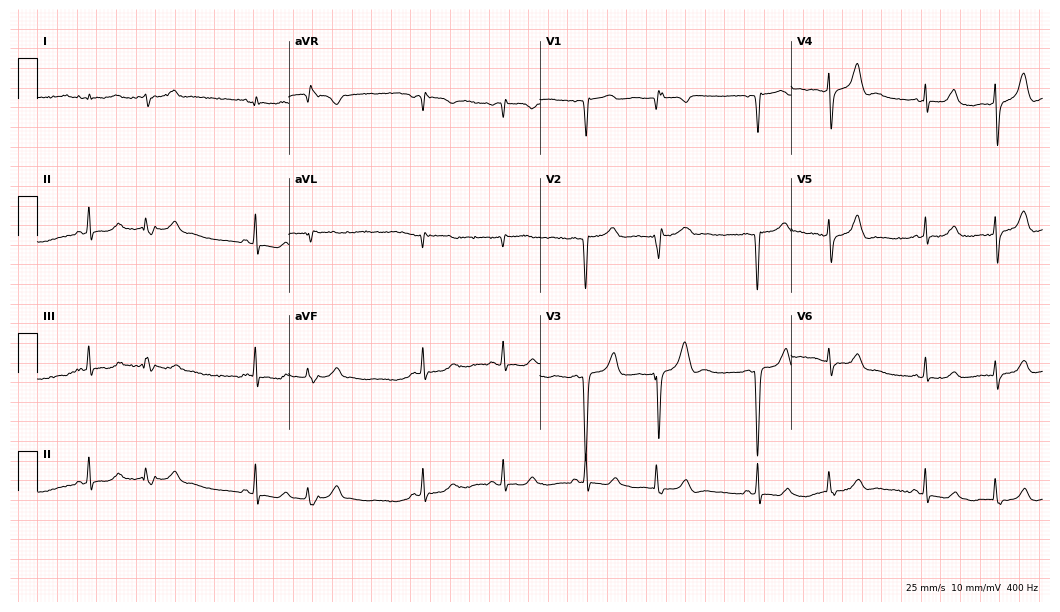
Electrocardiogram (10.2-second recording at 400 Hz), a 54-year-old woman. Of the six screened findings (first-degree AV block, right bundle branch block (RBBB), left bundle branch block (LBBB), sinus bradycardia, atrial fibrillation (AF), sinus tachycardia), none is recorded.